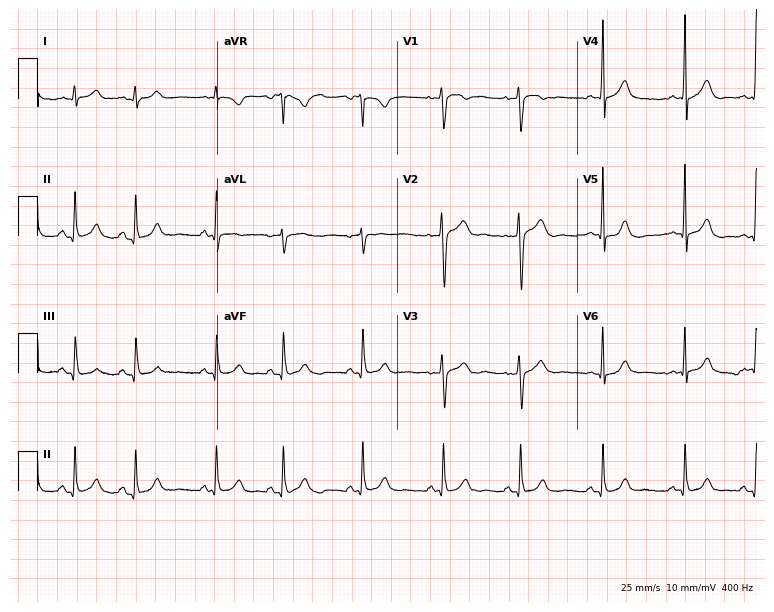
Resting 12-lead electrocardiogram (7.3-second recording at 400 Hz). Patient: a female, 27 years old. None of these six findings is recorded: first-degree AV block, right bundle branch block, left bundle branch block, sinus bradycardia, atrial fibrillation, sinus tachycardia. Other findings, if any, are not listed.